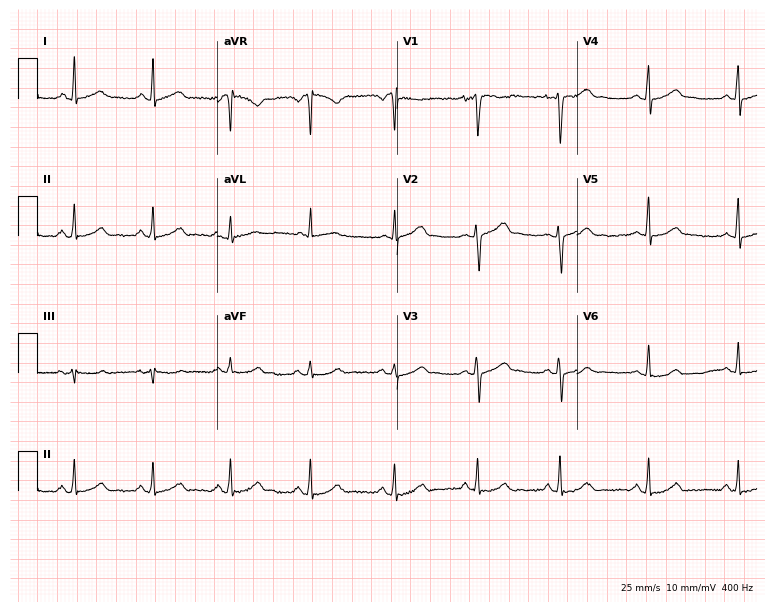
Electrocardiogram, a woman, 39 years old. Of the six screened findings (first-degree AV block, right bundle branch block, left bundle branch block, sinus bradycardia, atrial fibrillation, sinus tachycardia), none is recorded. Other findings, if any, are not listed.